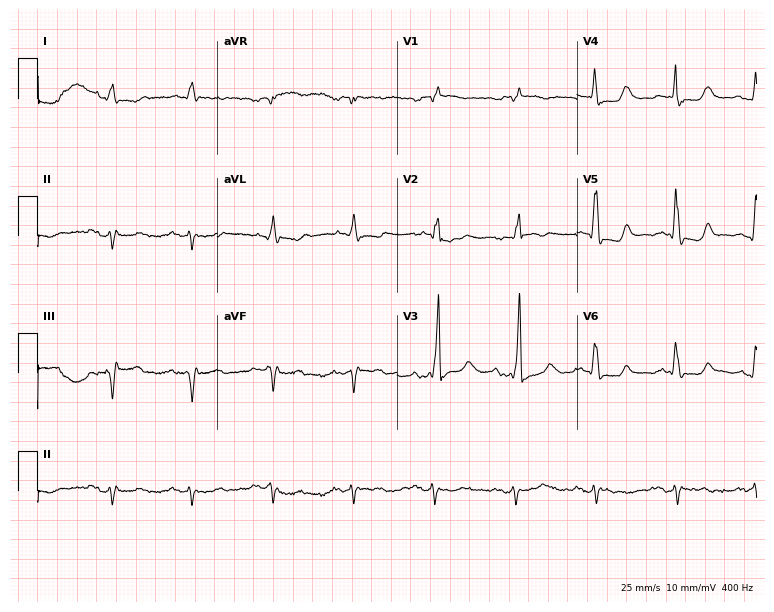
12-lead ECG from a male, 73 years old (7.3-second recording at 400 Hz). No first-degree AV block, right bundle branch block, left bundle branch block, sinus bradycardia, atrial fibrillation or sinus tachycardia recorded for this tracing.